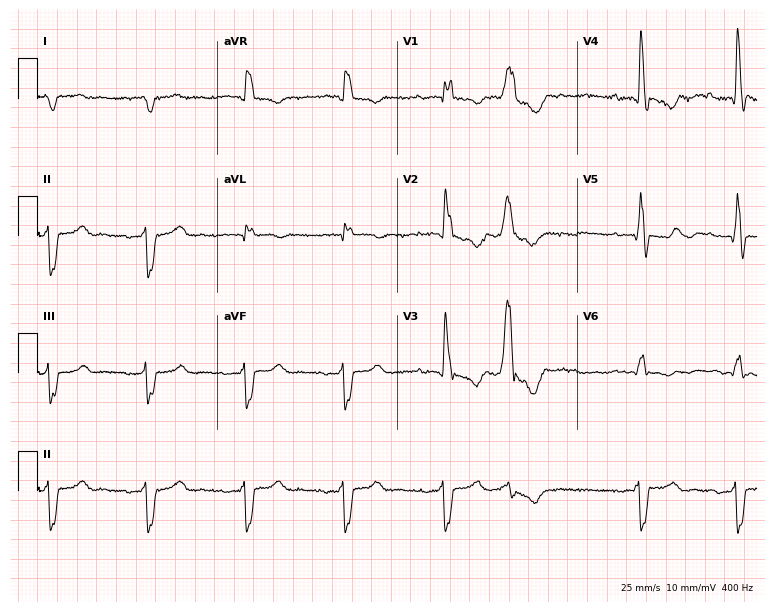
12-lead ECG from an 84-year-old male. Screened for six findings — first-degree AV block, right bundle branch block, left bundle branch block, sinus bradycardia, atrial fibrillation, sinus tachycardia — none is recorded. Findings outside these six are not listed.